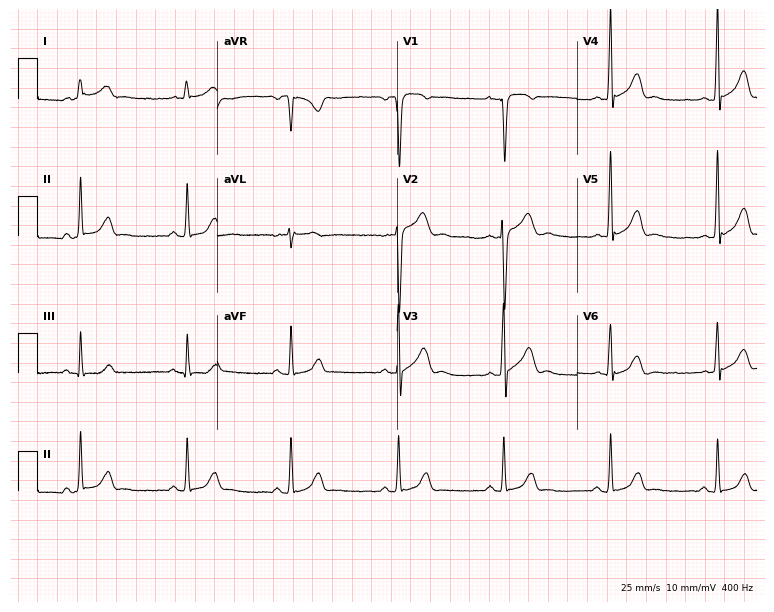
Standard 12-lead ECG recorded from a 21-year-old male patient. None of these six findings is recorded: first-degree AV block, right bundle branch block, left bundle branch block, sinus bradycardia, atrial fibrillation, sinus tachycardia. Other findings, if any, are not listed.